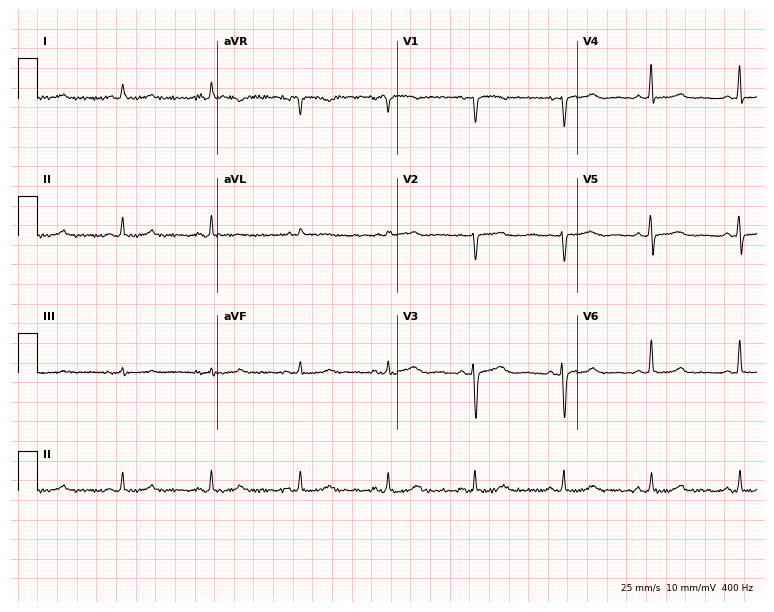
Electrocardiogram (7.3-second recording at 400 Hz), a 50-year-old female patient. Overall reading on record: normal ECG.